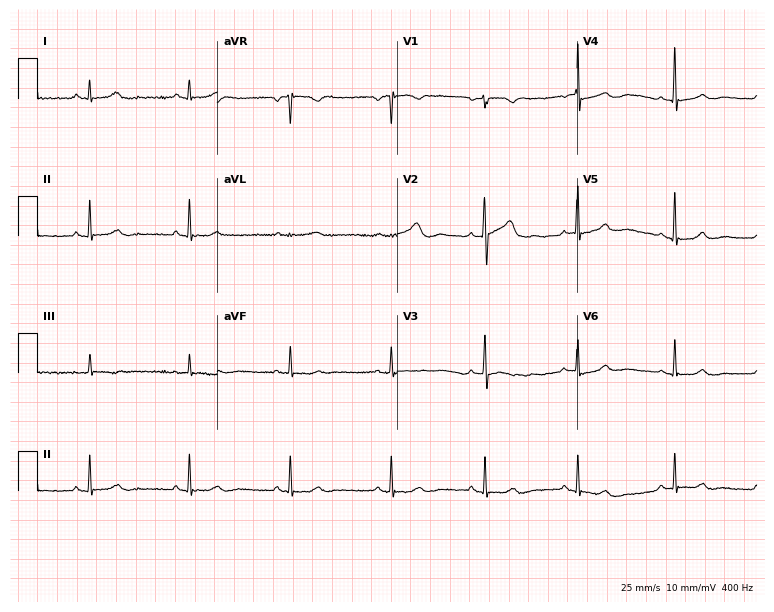
ECG — a female patient, 73 years old. Screened for six findings — first-degree AV block, right bundle branch block (RBBB), left bundle branch block (LBBB), sinus bradycardia, atrial fibrillation (AF), sinus tachycardia — none is recorded. Only these six findings were labelled.